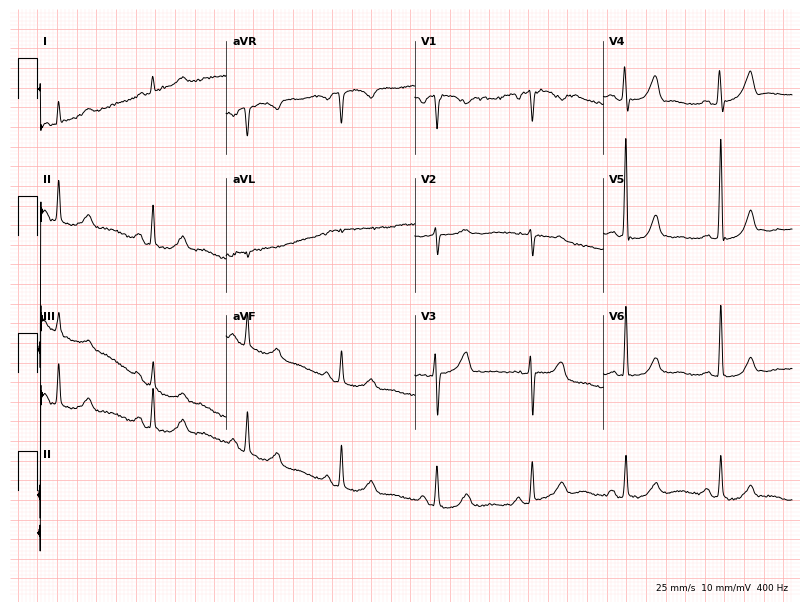
Electrocardiogram, a male, 83 years old. Of the six screened findings (first-degree AV block, right bundle branch block (RBBB), left bundle branch block (LBBB), sinus bradycardia, atrial fibrillation (AF), sinus tachycardia), none is recorded.